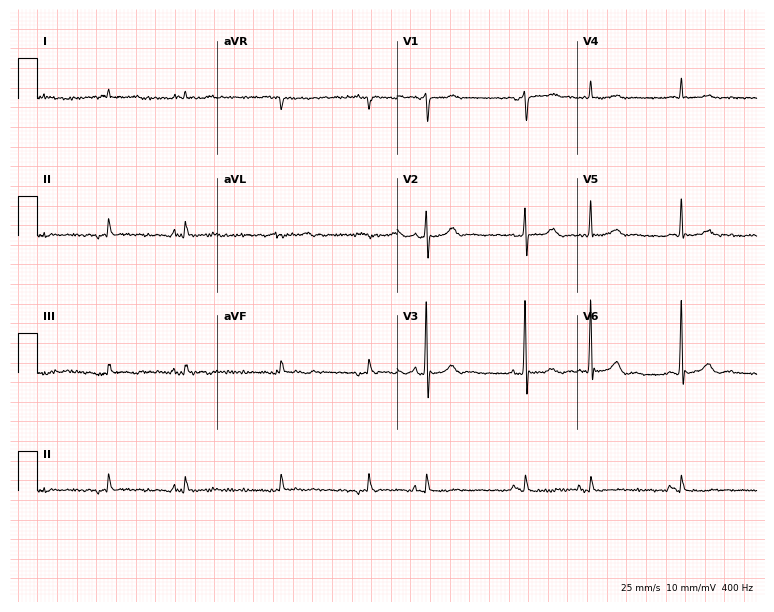
12-lead ECG (7.3-second recording at 400 Hz) from a male, 73 years old. Screened for six findings — first-degree AV block, right bundle branch block, left bundle branch block, sinus bradycardia, atrial fibrillation, sinus tachycardia — none is recorded.